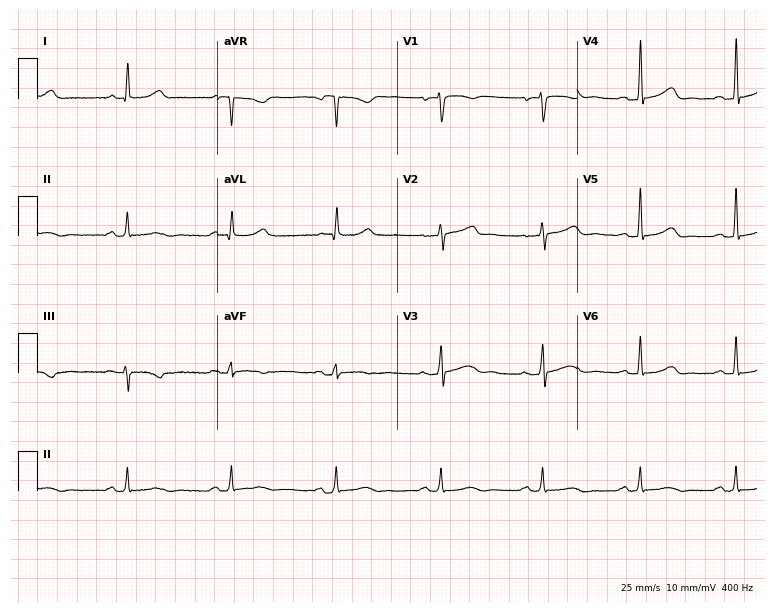
Electrocardiogram (7.3-second recording at 400 Hz), a 62-year-old female. Interpretation includes sinus bradycardia (a sinus rate of 50 beats per minute or less).